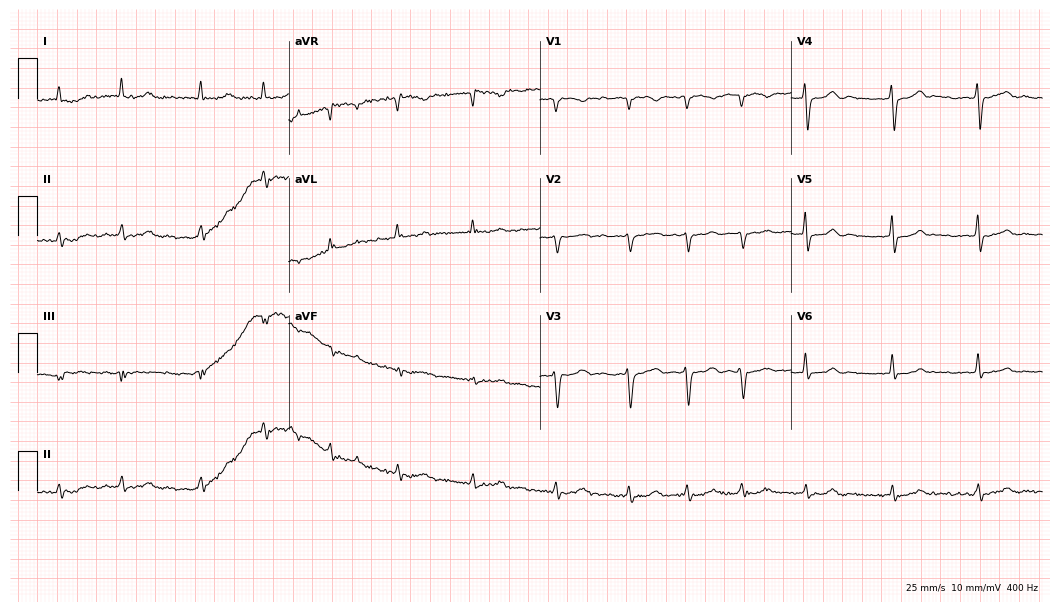
Resting 12-lead electrocardiogram (10.2-second recording at 400 Hz). Patient: a 77-year-old female. The tracing shows atrial fibrillation.